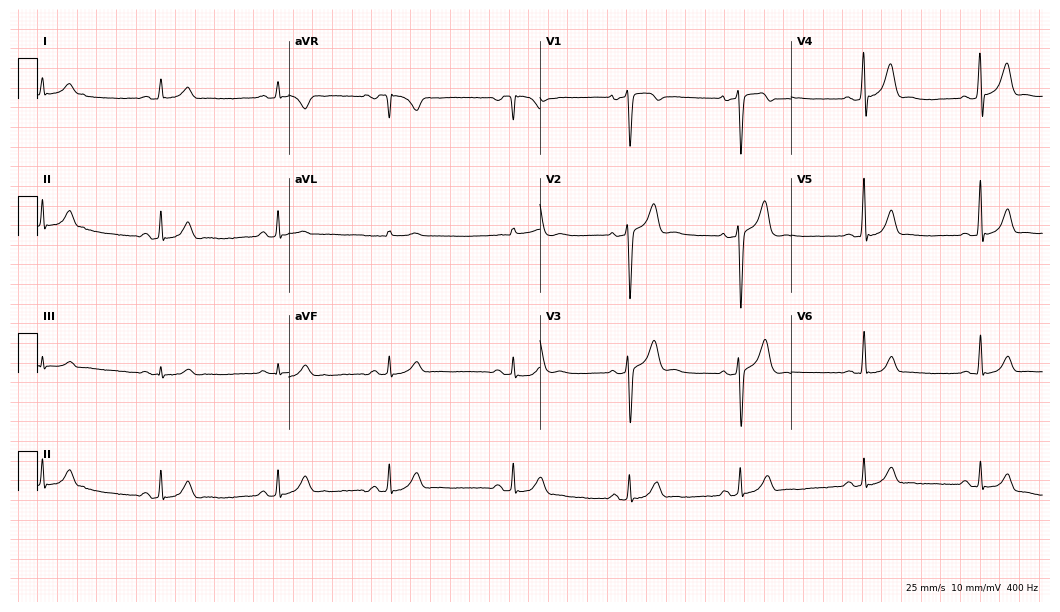
12-lead ECG from a man, 27 years old. Labelled as a normal ECG.